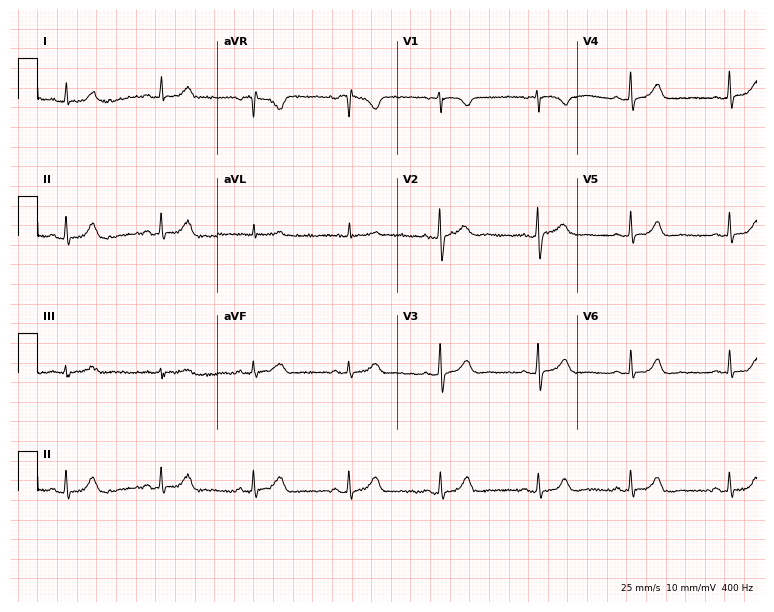
12-lead ECG from a 32-year-old female (7.3-second recording at 400 Hz). Recorded interpretation: within normal limits.